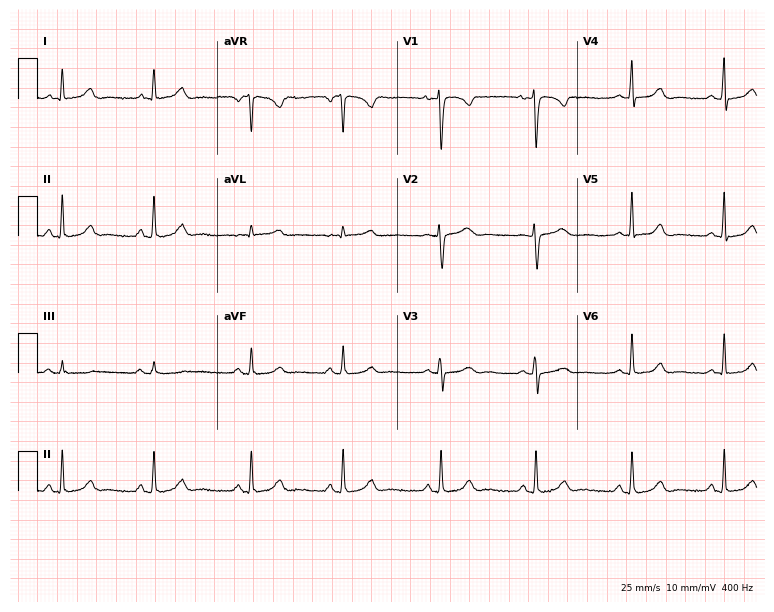
ECG — a female, 28 years old. Labelled as a normal ECG.